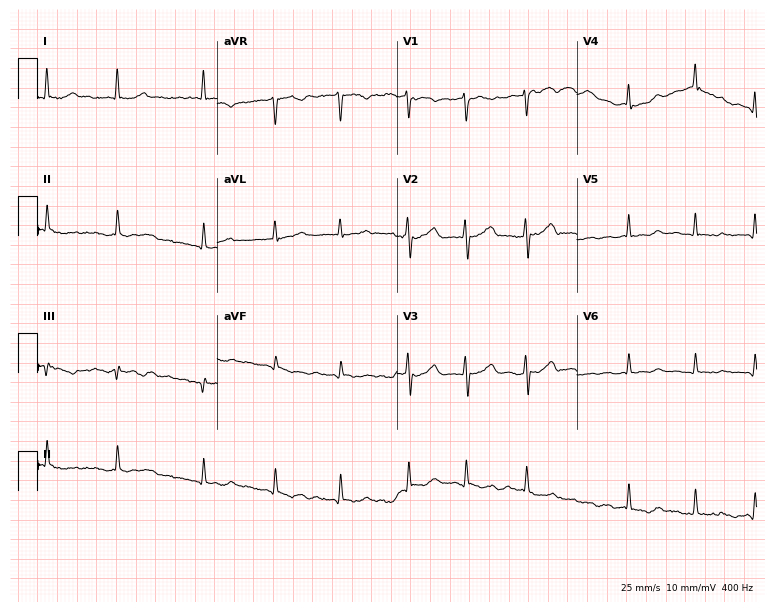
Resting 12-lead electrocardiogram (7.3-second recording at 400 Hz). Patient: a 71-year-old female. The tracing shows atrial fibrillation.